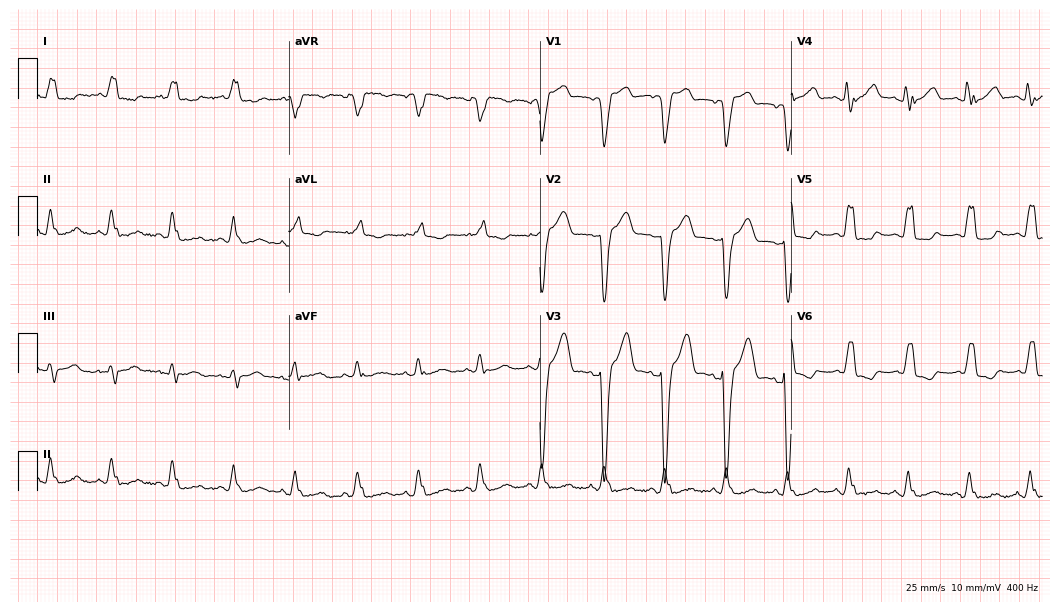
Standard 12-lead ECG recorded from a woman, 70 years old (10.2-second recording at 400 Hz). The tracing shows left bundle branch block.